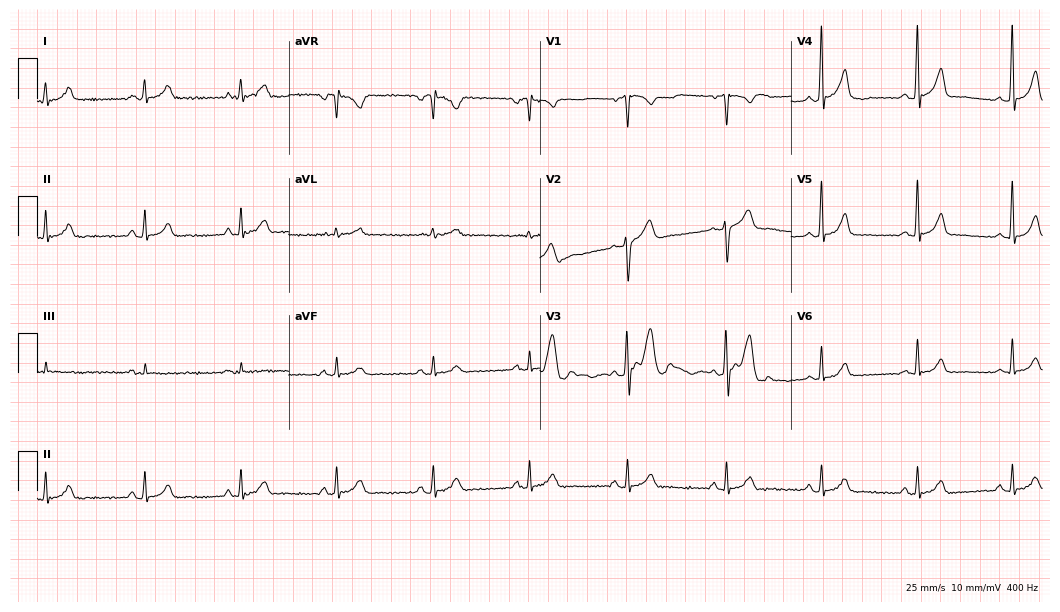
Electrocardiogram, a male, 50 years old. Of the six screened findings (first-degree AV block, right bundle branch block, left bundle branch block, sinus bradycardia, atrial fibrillation, sinus tachycardia), none is recorded.